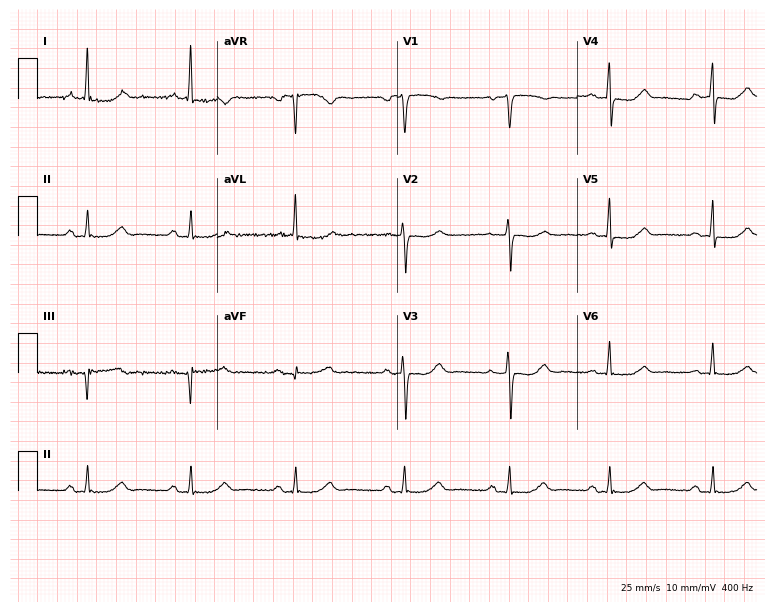
12-lead ECG (7.3-second recording at 400 Hz) from a 40-year-old female patient. Screened for six findings — first-degree AV block, right bundle branch block (RBBB), left bundle branch block (LBBB), sinus bradycardia, atrial fibrillation (AF), sinus tachycardia — none is recorded. Only these six findings were labelled.